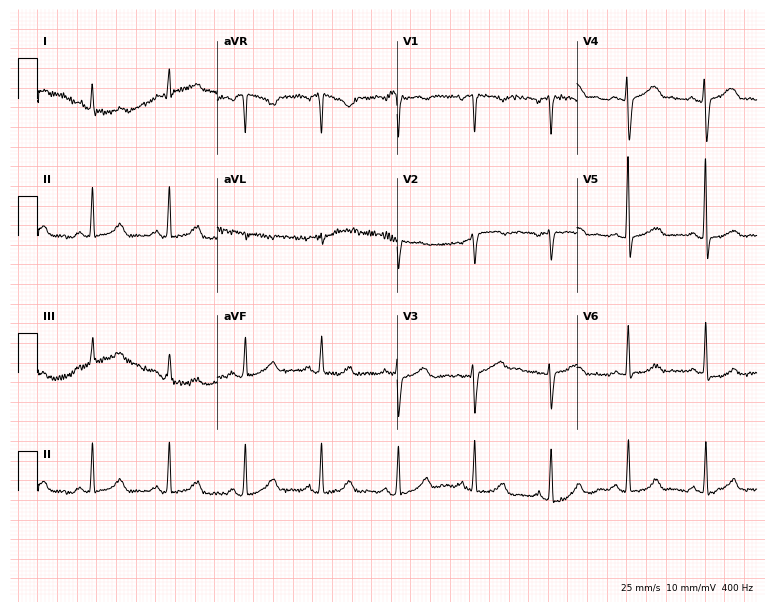
12-lead ECG from a female, 50 years old. Screened for six findings — first-degree AV block, right bundle branch block, left bundle branch block, sinus bradycardia, atrial fibrillation, sinus tachycardia — none is recorded.